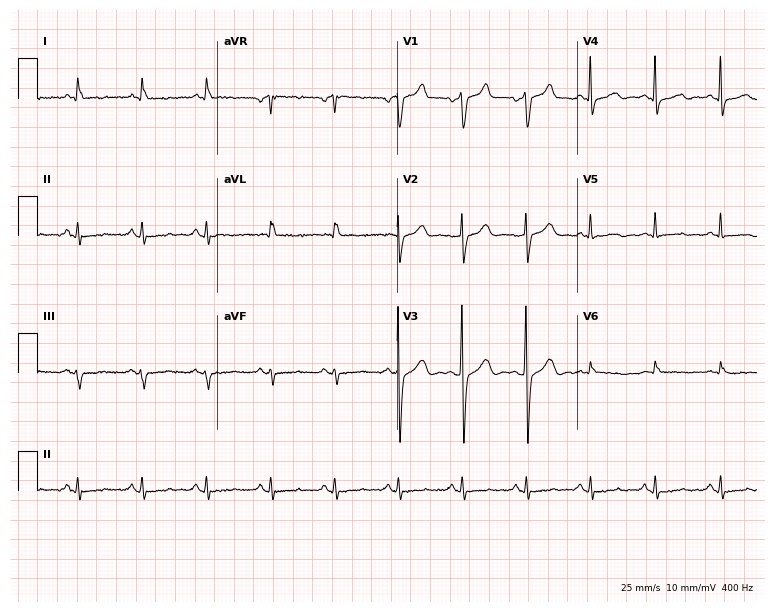
Standard 12-lead ECG recorded from an 81-year-old male patient. None of these six findings is recorded: first-degree AV block, right bundle branch block, left bundle branch block, sinus bradycardia, atrial fibrillation, sinus tachycardia. Only these six findings were labelled.